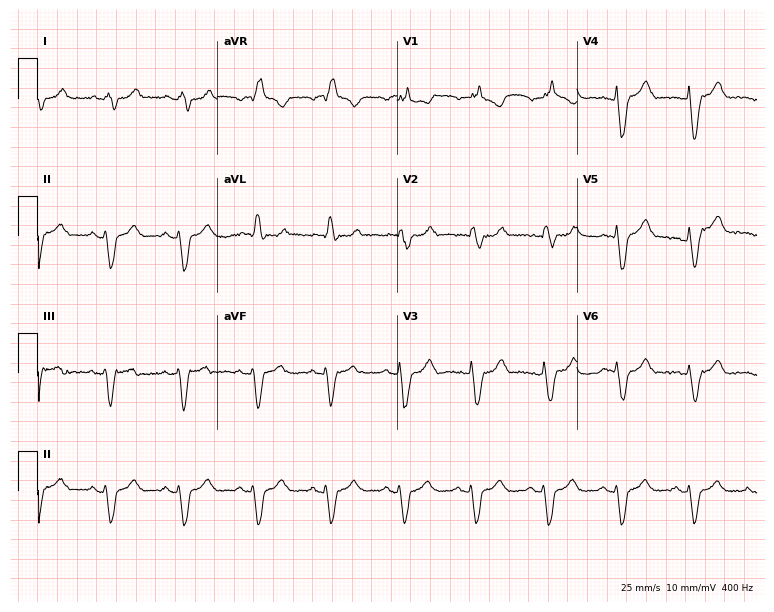
12-lead ECG from a male patient, 76 years old. Findings include right bundle branch block.